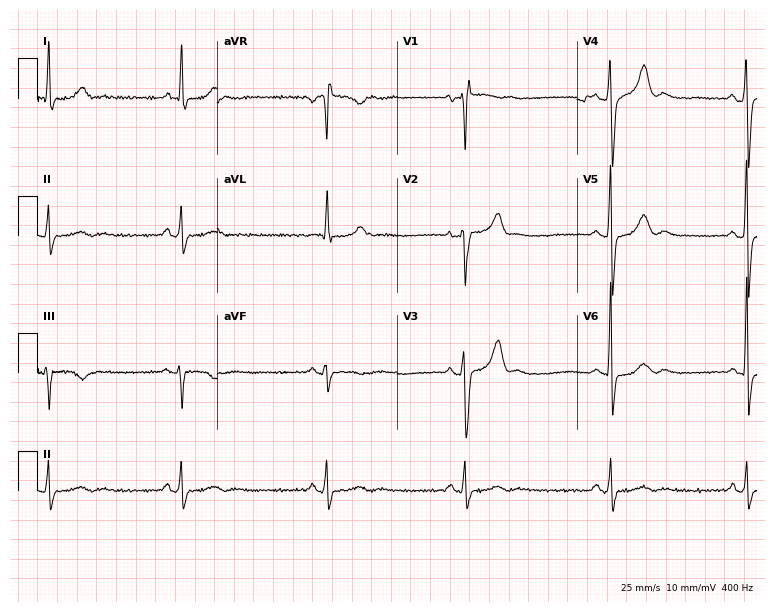
12-lead ECG (7.3-second recording at 400 Hz) from a male, 62 years old. Screened for six findings — first-degree AV block, right bundle branch block, left bundle branch block, sinus bradycardia, atrial fibrillation, sinus tachycardia — none is recorded. Findings outside these six are not listed.